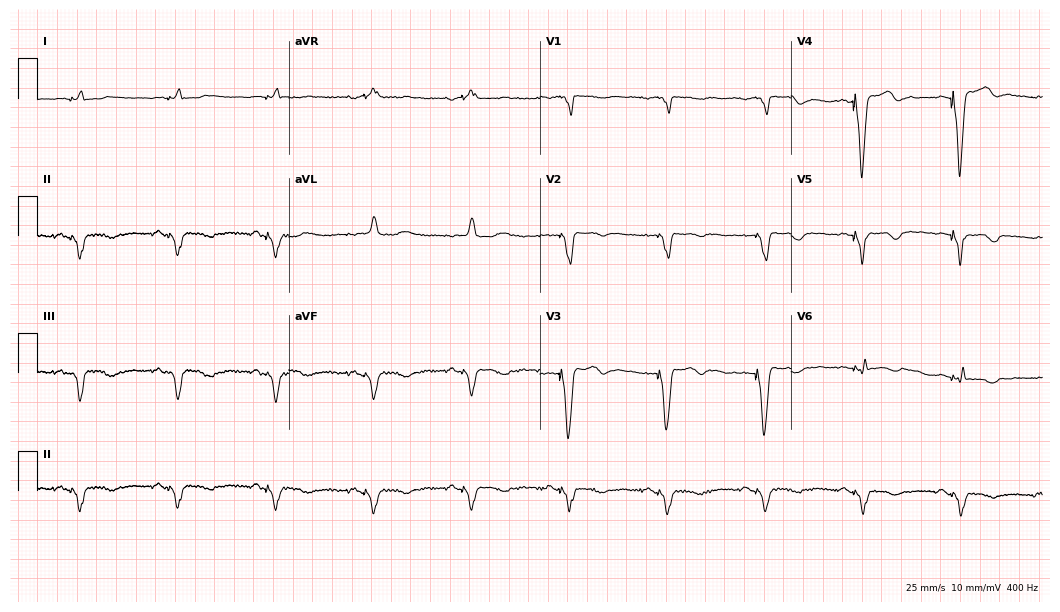
12-lead ECG from a woman, 41 years old. No first-degree AV block, right bundle branch block, left bundle branch block, sinus bradycardia, atrial fibrillation or sinus tachycardia recorded for this tracing. Only these six findings were labelled.